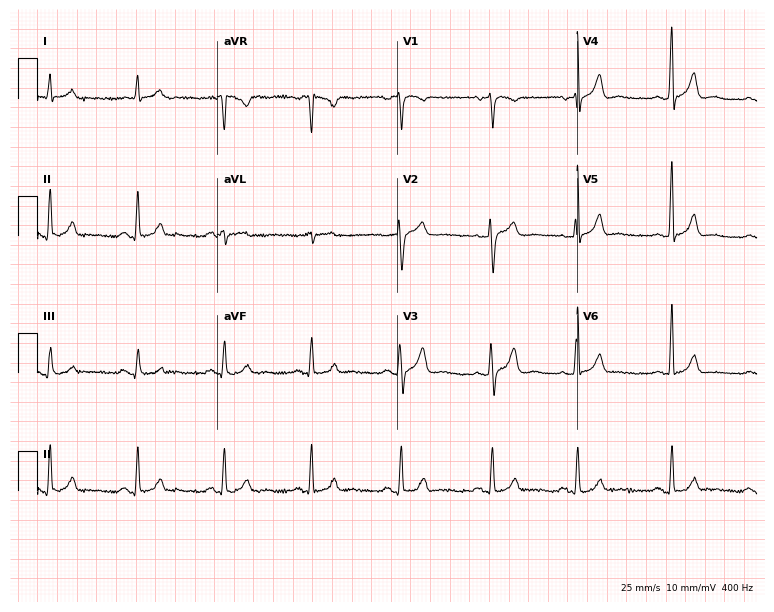
12-lead ECG from a woman, 70 years old. Labelled as a normal ECG.